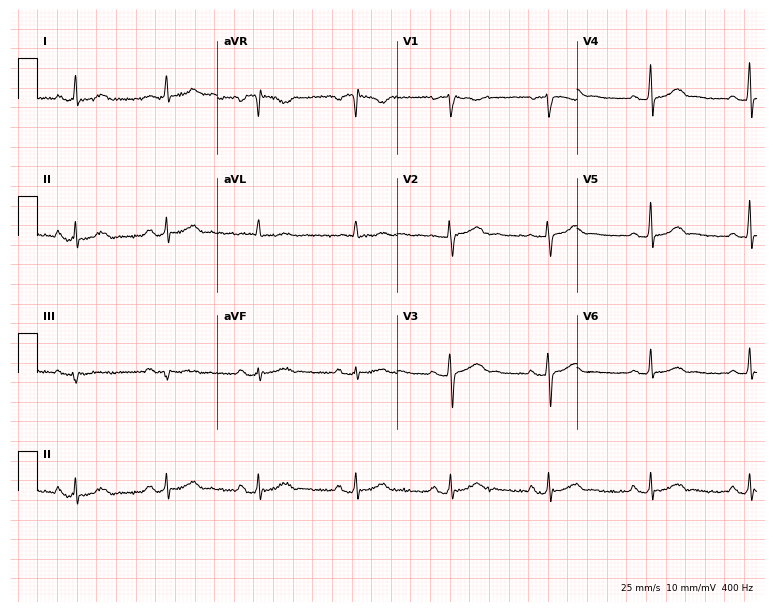
12-lead ECG (7.3-second recording at 400 Hz) from a 42-year-old female patient. Labelled as a normal ECG.